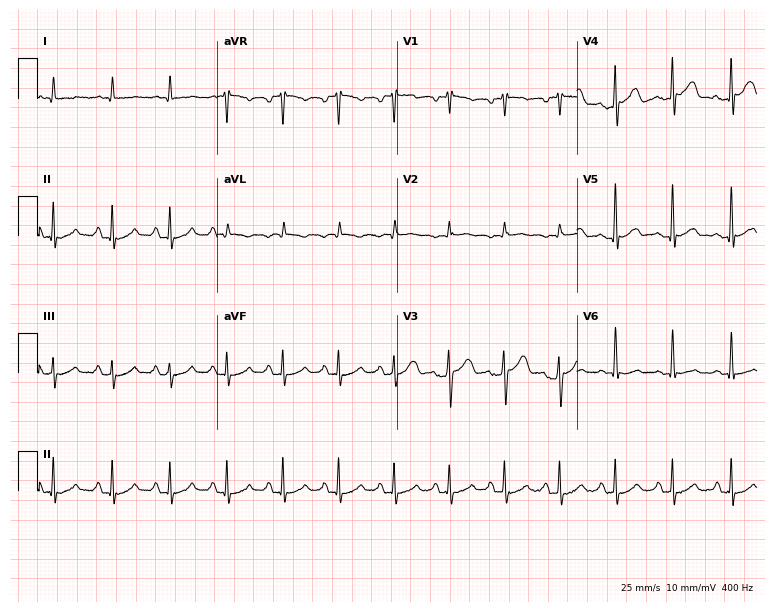
12-lead ECG from a male, 56 years old (7.3-second recording at 400 Hz). No first-degree AV block, right bundle branch block, left bundle branch block, sinus bradycardia, atrial fibrillation or sinus tachycardia recorded for this tracing. Only these six findings were labelled.